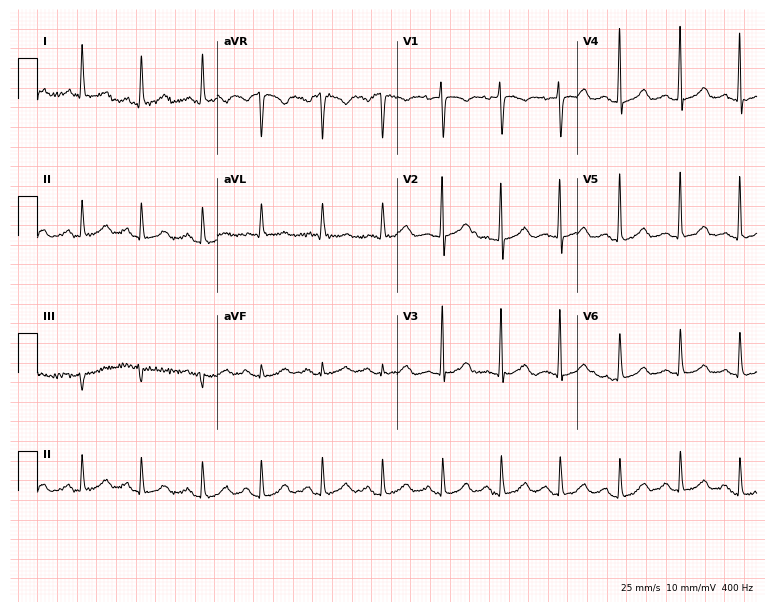
Electrocardiogram, a woman, 65 years old. Overall reading on record: normal ECG.